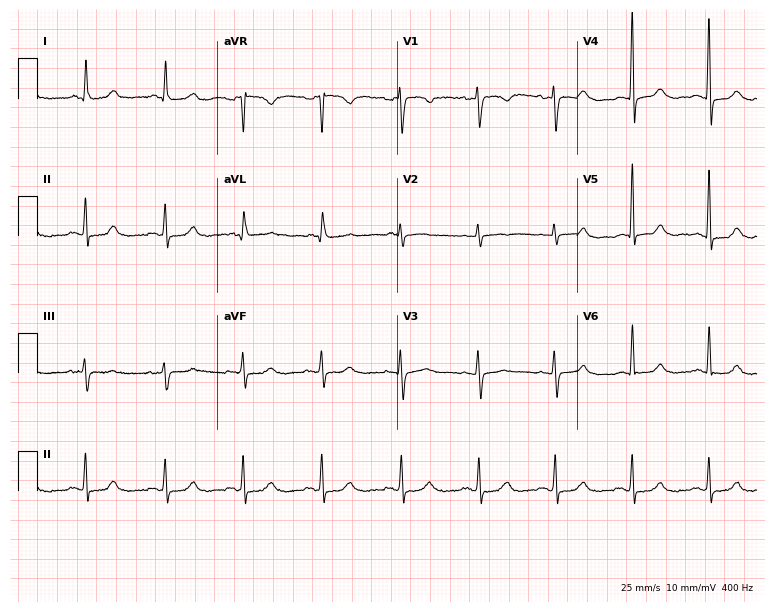
12-lead ECG from a female, 70 years old. Screened for six findings — first-degree AV block, right bundle branch block, left bundle branch block, sinus bradycardia, atrial fibrillation, sinus tachycardia — none is recorded.